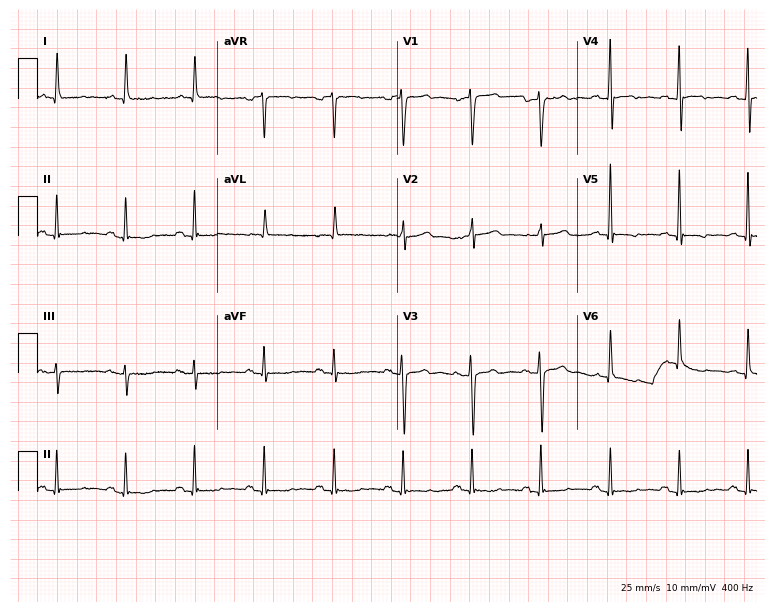
12-lead ECG from a man, 81 years old. No first-degree AV block, right bundle branch block (RBBB), left bundle branch block (LBBB), sinus bradycardia, atrial fibrillation (AF) or sinus tachycardia recorded for this tracing. Other findings, if any, are not listed.